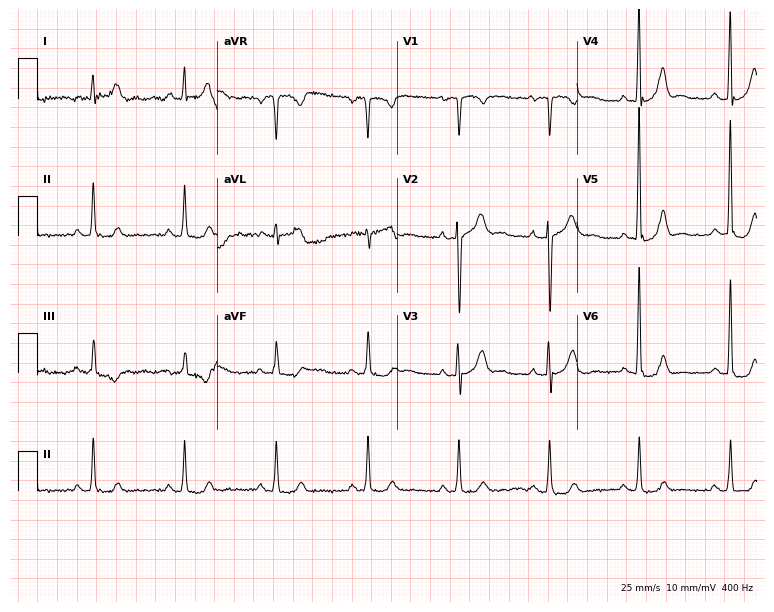
Electrocardiogram, a 61-year-old man. Overall reading on record: normal ECG.